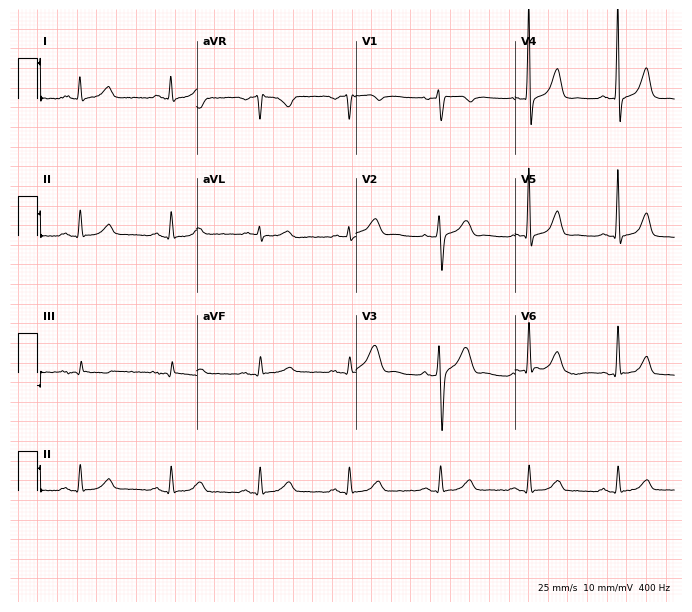
Resting 12-lead electrocardiogram. Patient: a 50-year-old male. None of these six findings is recorded: first-degree AV block, right bundle branch block, left bundle branch block, sinus bradycardia, atrial fibrillation, sinus tachycardia.